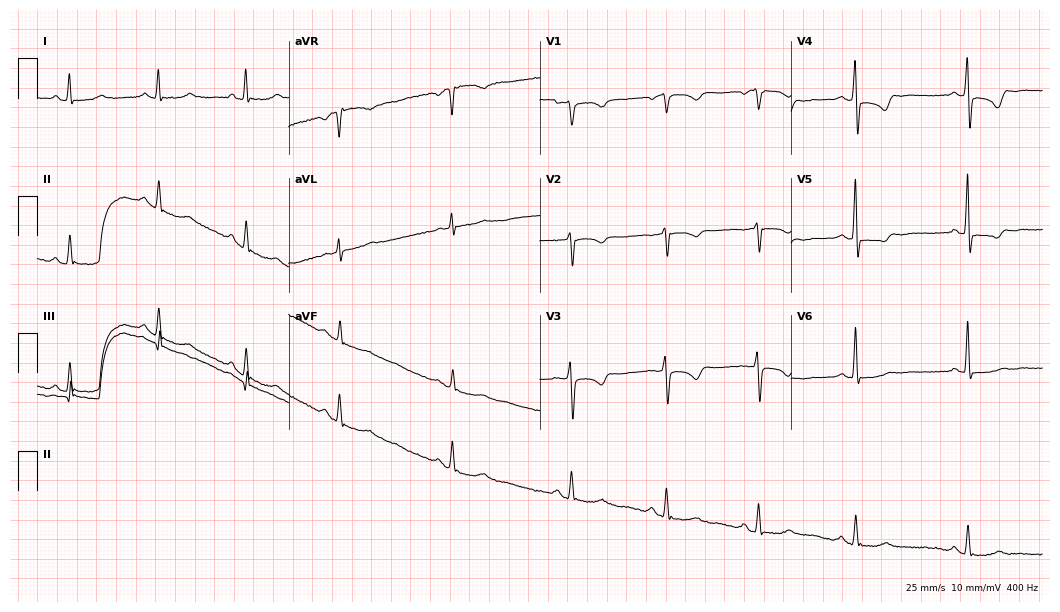
12-lead ECG from a woman, 71 years old (10.2-second recording at 400 Hz). No first-degree AV block, right bundle branch block, left bundle branch block, sinus bradycardia, atrial fibrillation or sinus tachycardia recorded for this tracing. Only these six findings were labelled.